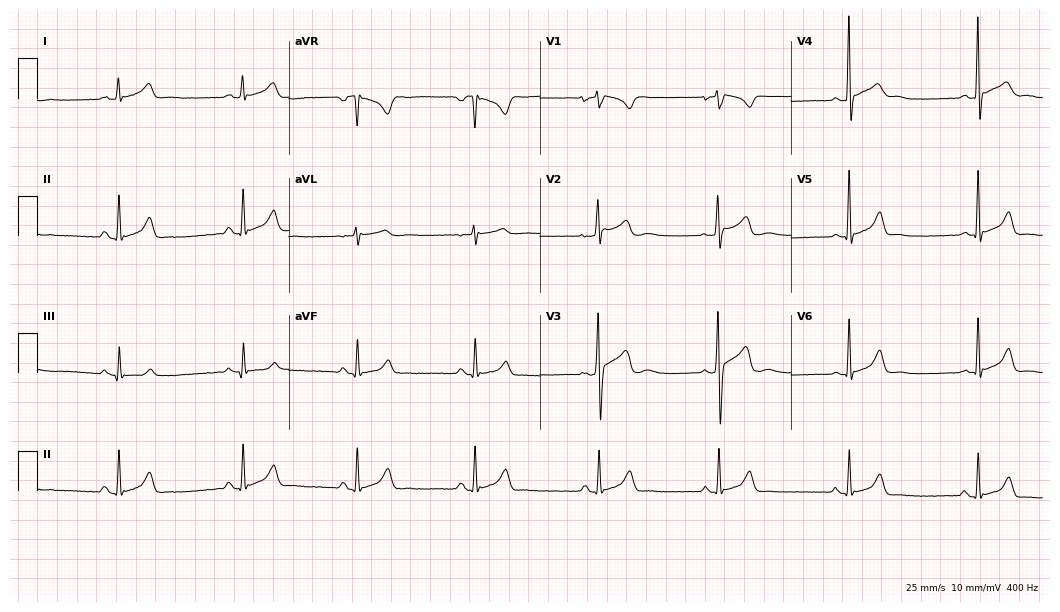
12-lead ECG from a 19-year-old male. Findings include sinus bradycardia (a sinus rate of 50 beats per minute or less).